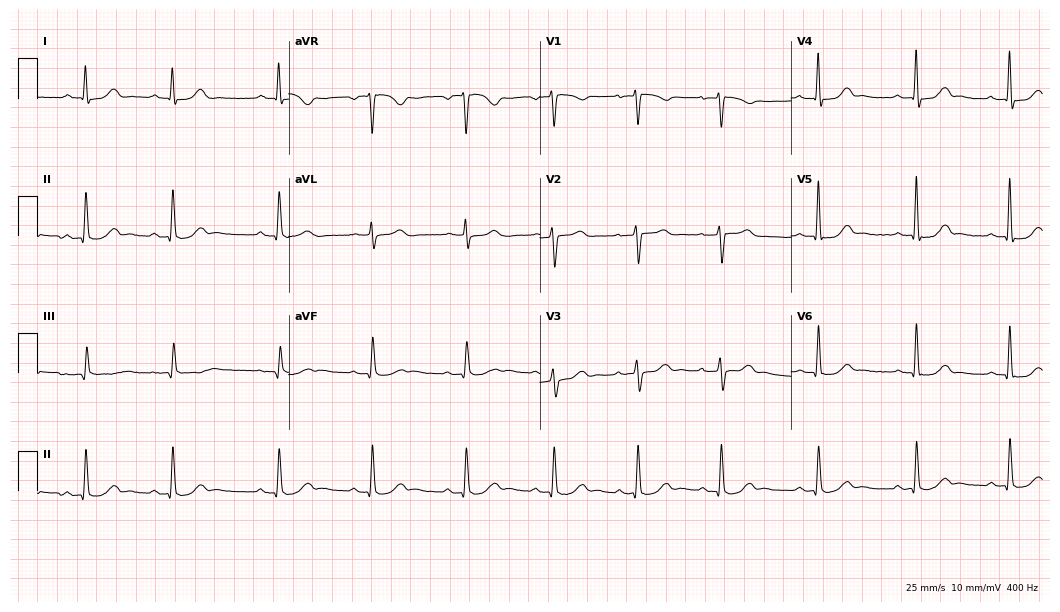
Resting 12-lead electrocardiogram. Patient: a 44-year-old male. None of these six findings is recorded: first-degree AV block, right bundle branch block, left bundle branch block, sinus bradycardia, atrial fibrillation, sinus tachycardia.